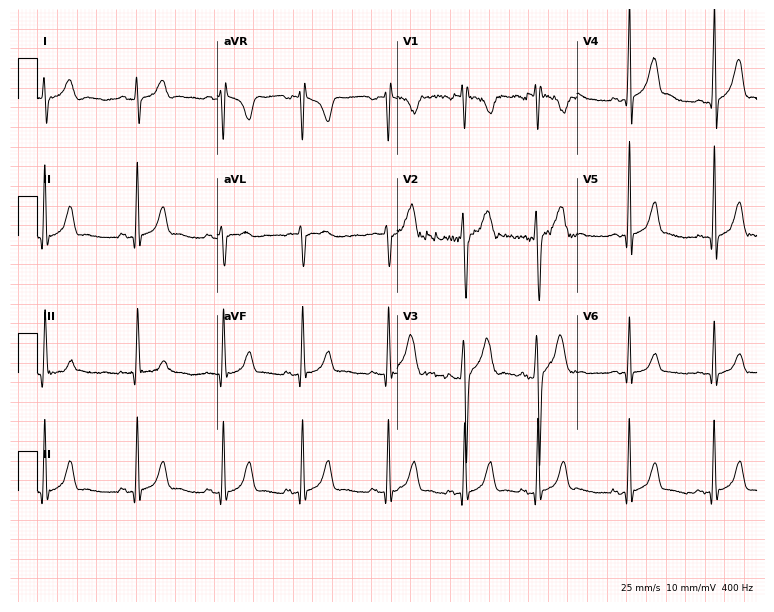
ECG (7.3-second recording at 400 Hz) — a 17-year-old male. Labelled as a normal ECG.